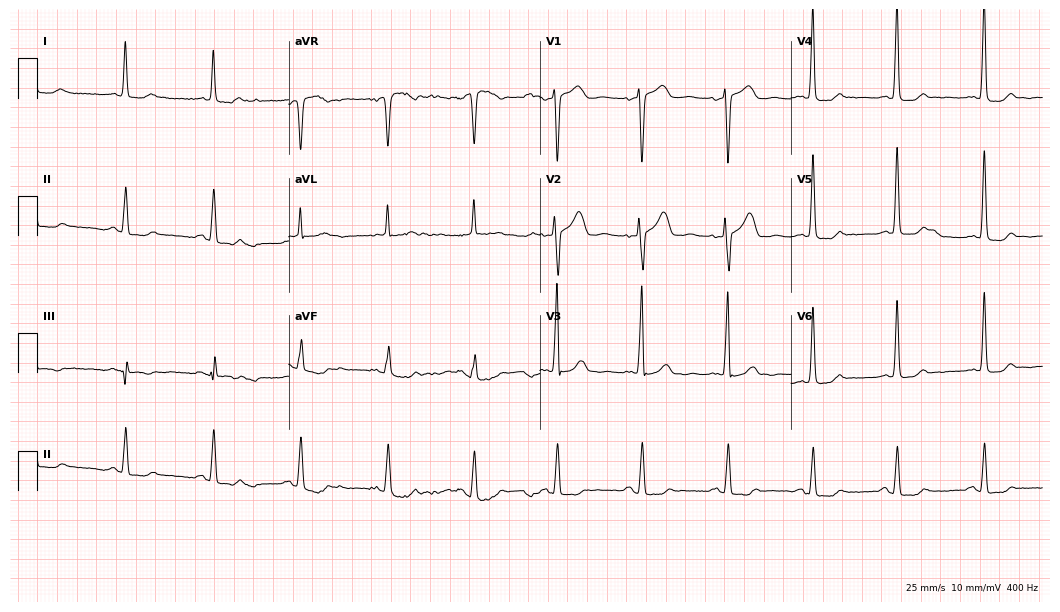
Standard 12-lead ECG recorded from a male patient, 66 years old (10.2-second recording at 400 Hz). None of these six findings is recorded: first-degree AV block, right bundle branch block (RBBB), left bundle branch block (LBBB), sinus bradycardia, atrial fibrillation (AF), sinus tachycardia. Only these six findings were labelled.